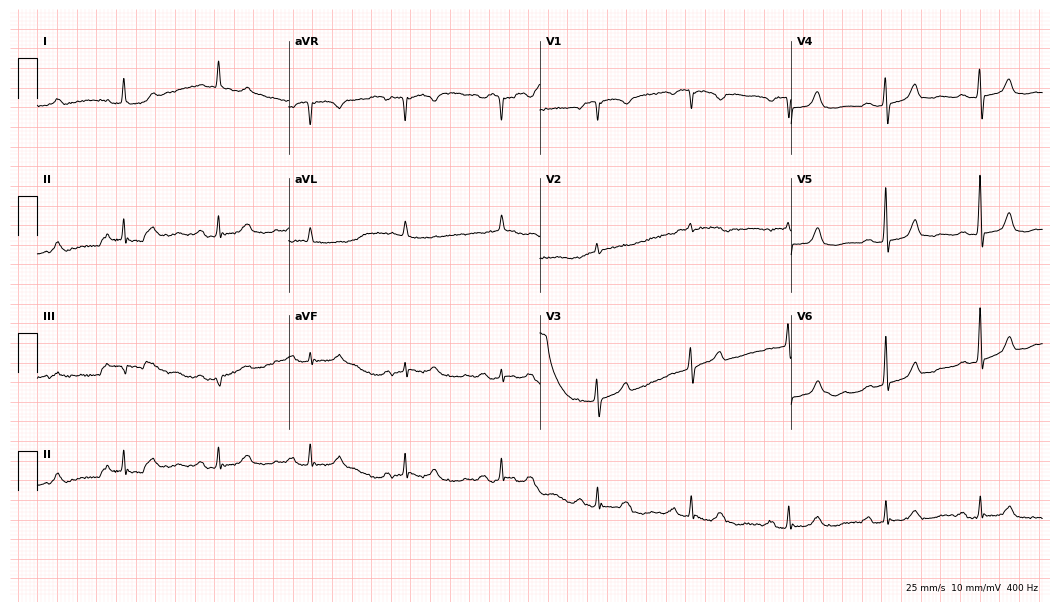
ECG — a female patient, 82 years old. Labelled as a normal ECG.